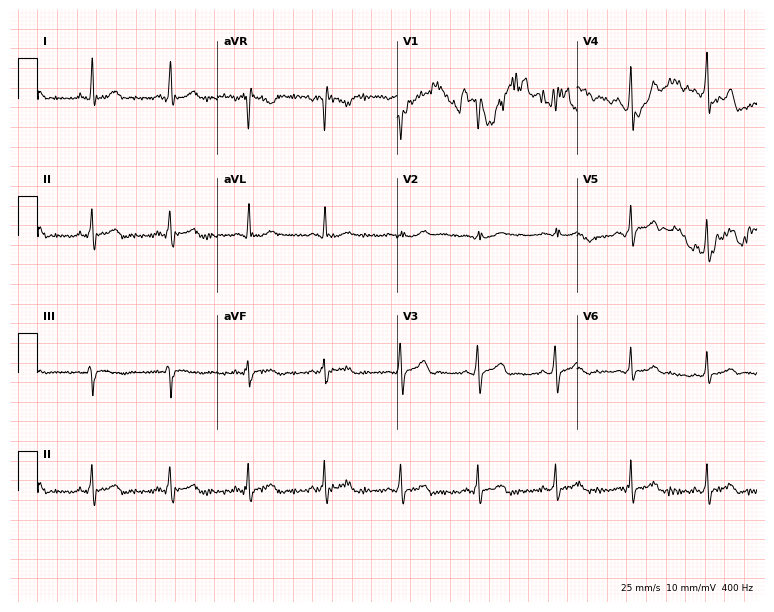
Electrocardiogram, a 43-year-old male. Of the six screened findings (first-degree AV block, right bundle branch block, left bundle branch block, sinus bradycardia, atrial fibrillation, sinus tachycardia), none is recorded.